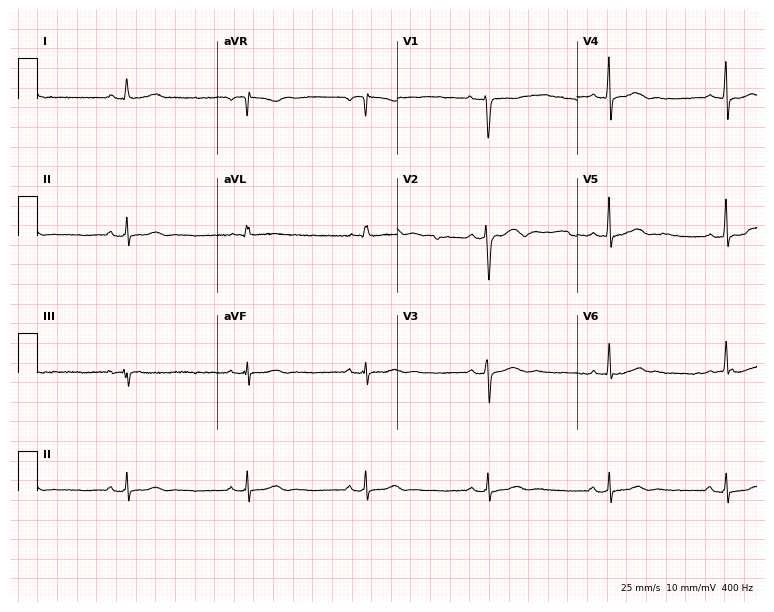
ECG — a 48-year-old woman. Screened for six findings — first-degree AV block, right bundle branch block, left bundle branch block, sinus bradycardia, atrial fibrillation, sinus tachycardia — none is recorded.